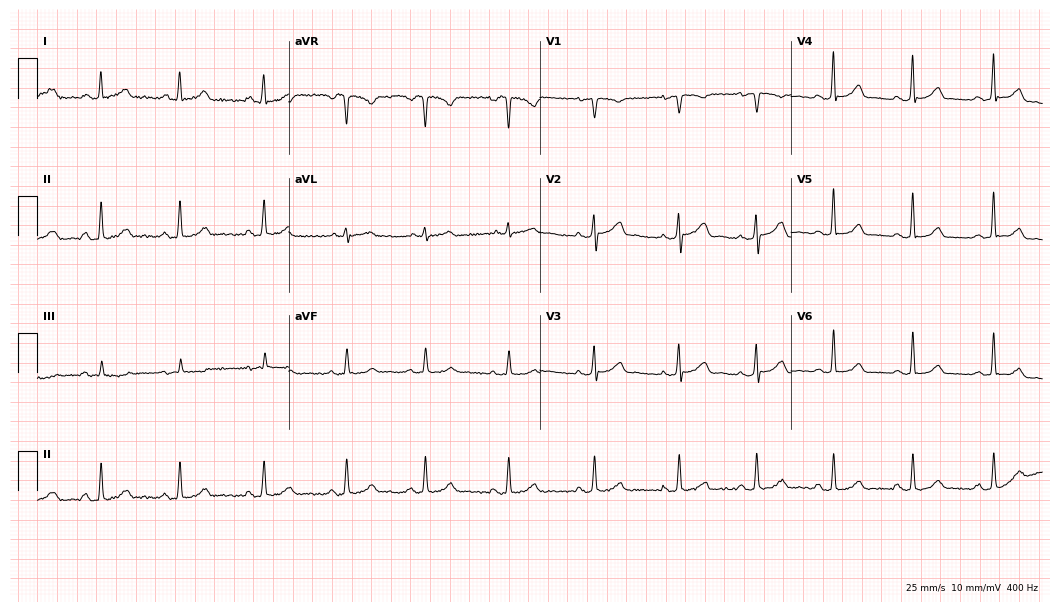
12-lead ECG from a 39-year-old woman (10.2-second recording at 400 Hz). Recorded interpretation: within normal limits.